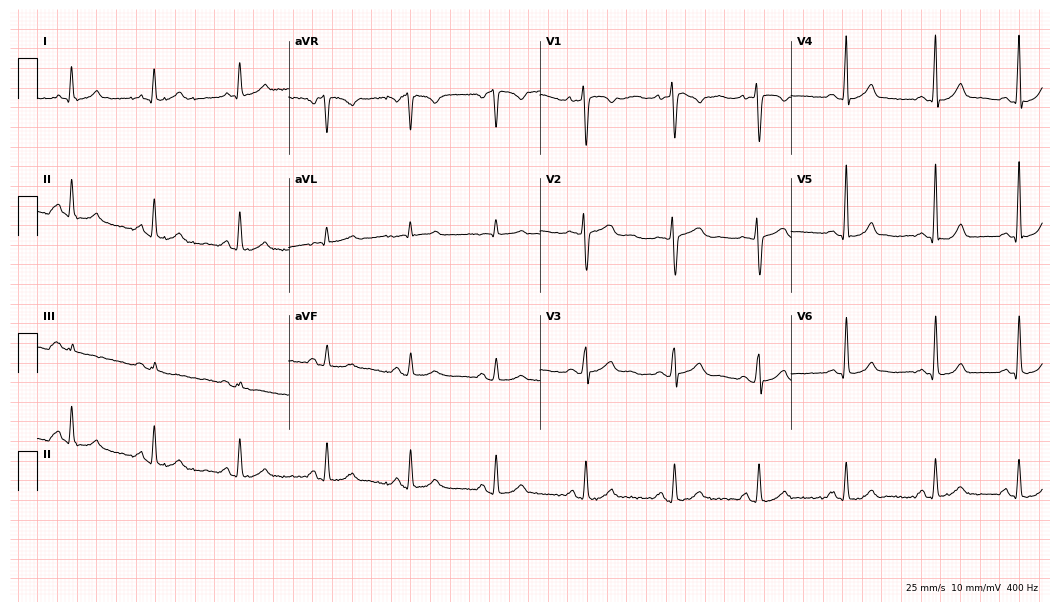
12-lead ECG from a 36-year-old female patient (10.2-second recording at 400 Hz). Recorded interpretation: within normal limits.